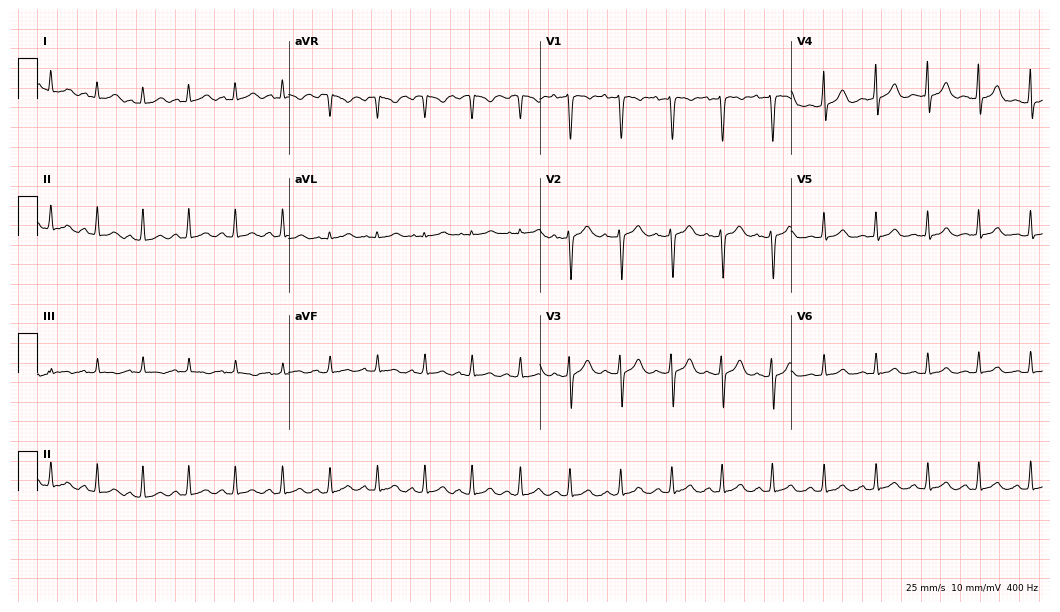
Electrocardiogram (10.2-second recording at 400 Hz), an 18-year-old female patient. Interpretation includes sinus tachycardia (a sinus rate of 100 beats per minute or more).